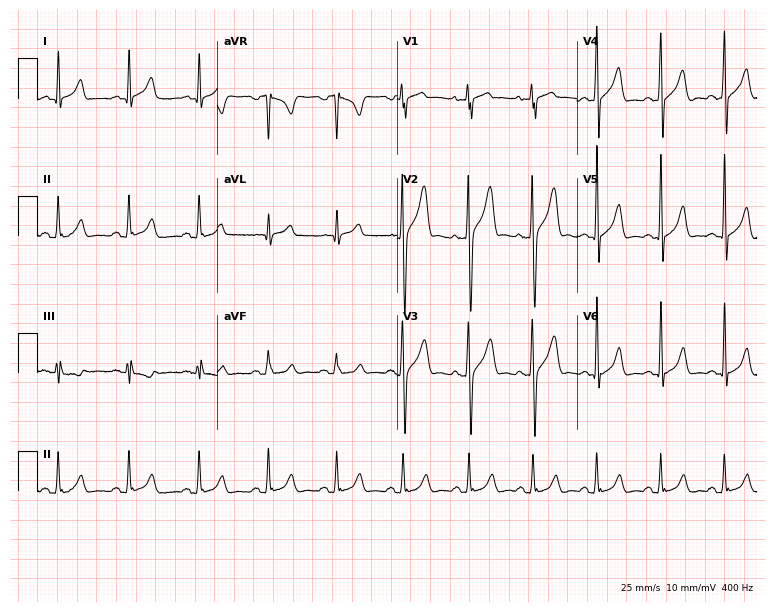
Resting 12-lead electrocardiogram (7.3-second recording at 400 Hz). Patient: a 41-year-old male. Read as a normal ECG.